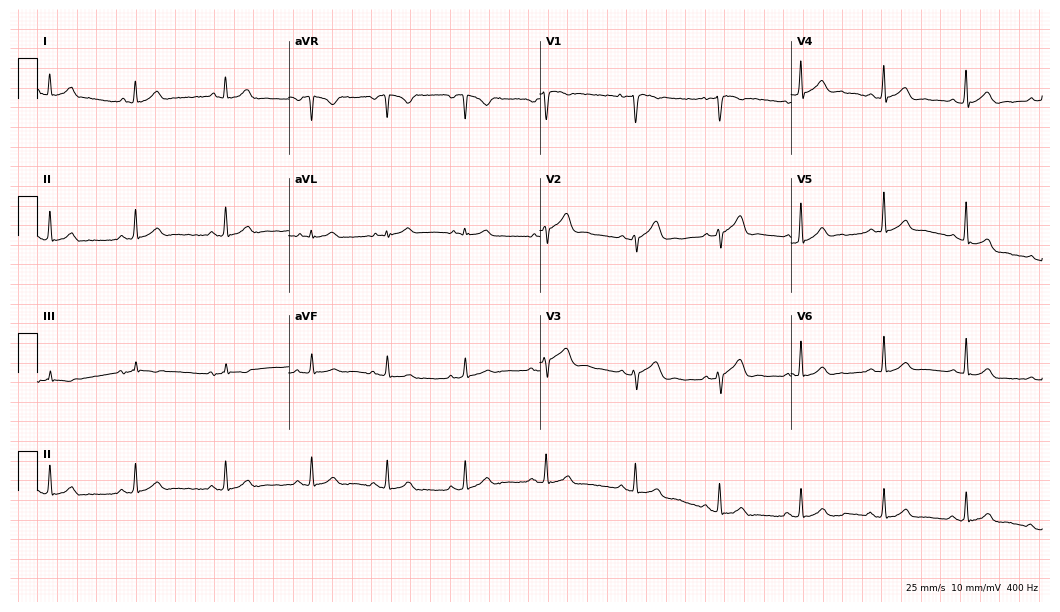
Electrocardiogram (10.2-second recording at 400 Hz), a male patient, 25 years old. Overall reading on record: normal ECG.